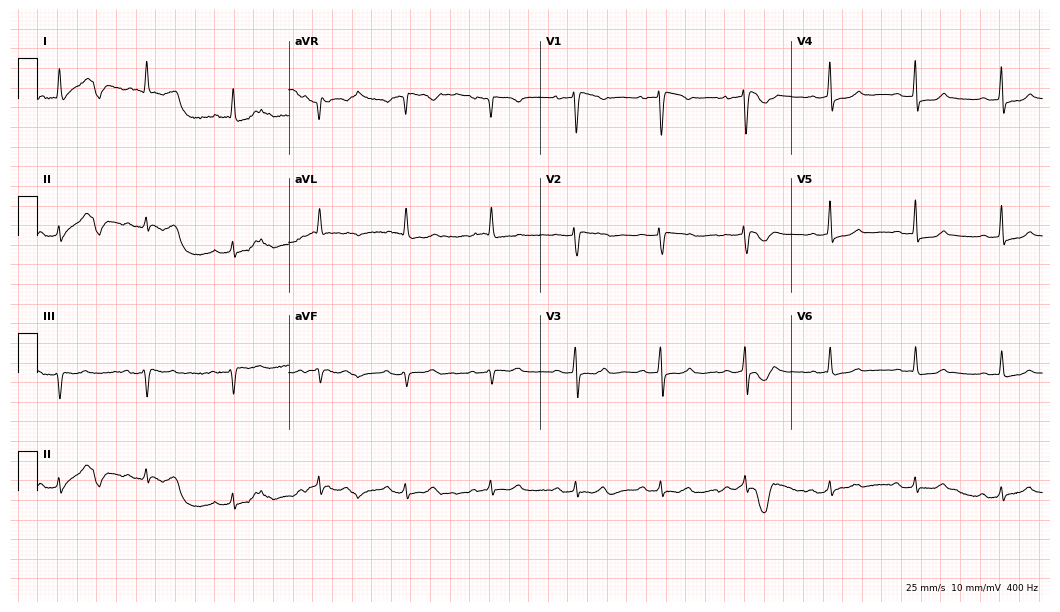
ECG — a woman, 72 years old. Screened for six findings — first-degree AV block, right bundle branch block (RBBB), left bundle branch block (LBBB), sinus bradycardia, atrial fibrillation (AF), sinus tachycardia — none is recorded.